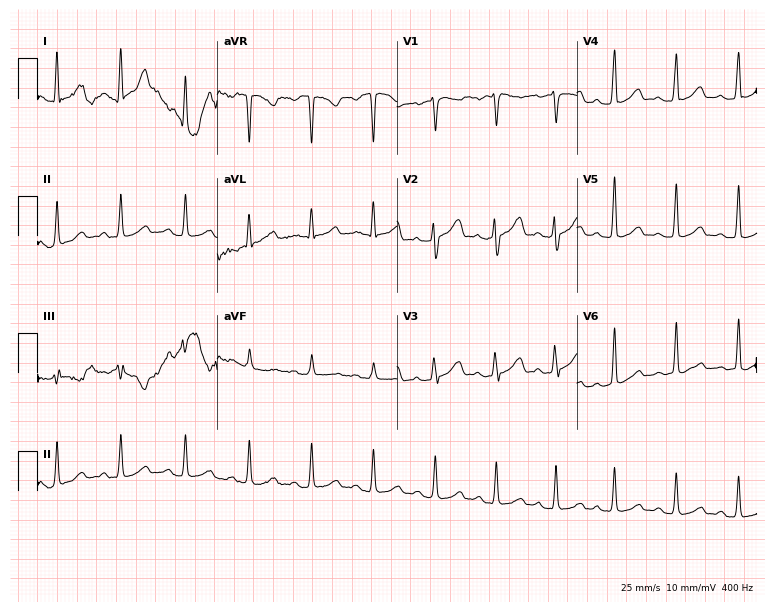
Standard 12-lead ECG recorded from a 27-year-old female. None of these six findings is recorded: first-degree AV block, right bundle branch block (RBBB), left bundle branch block (LBBB), sinus bradycardia, atrial fibrillation (AF), sinus tachycardia. Only these six findings were labelled.